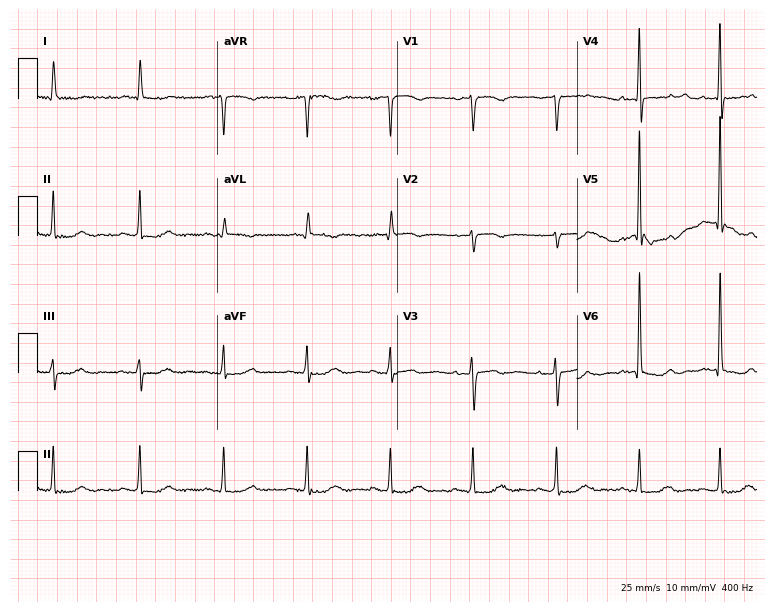
Standard 12-lead ECG recorded from a 73-year-old female. None of these six findings is recorded: first-degree AV block, right bundle branch block, left bundle branch block, sinus bradycardia, atrial fibrillation, sinus tachycardia.